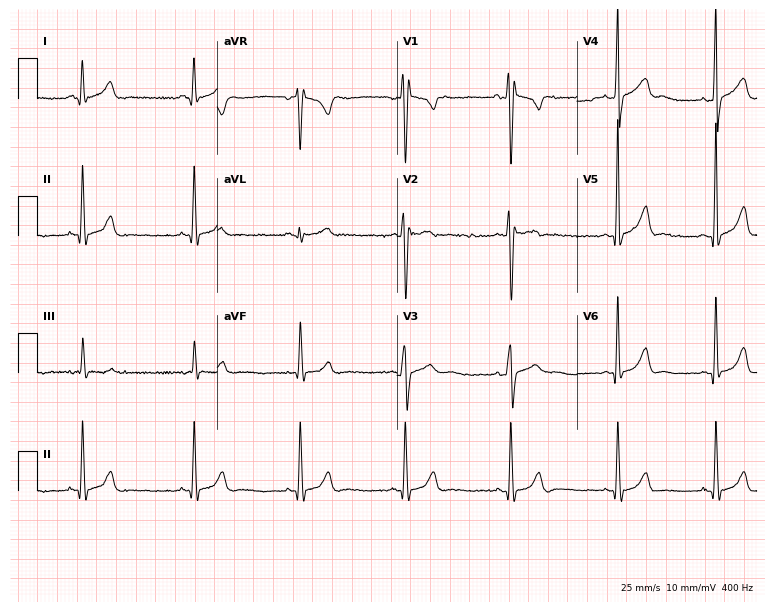
12-lead ECG from a male, 19 years old. Recorded interpretation: within normal limits.